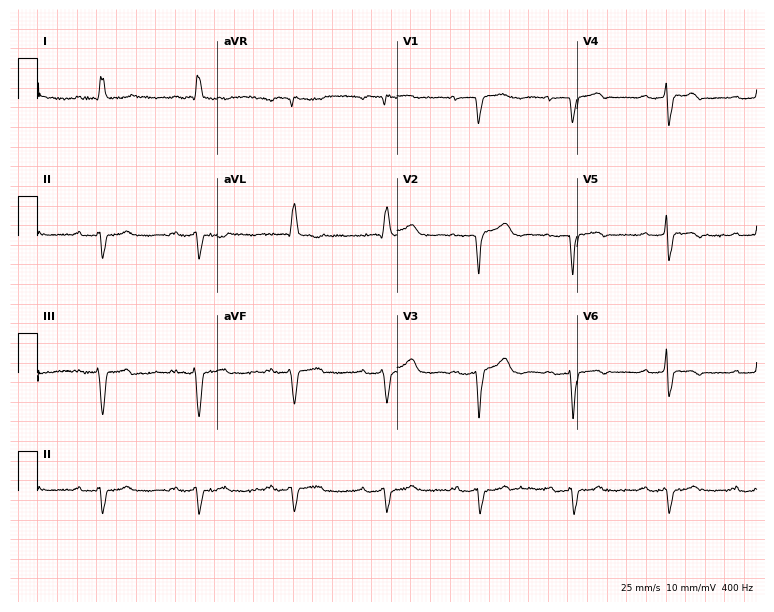
12-lead ECG from an 87-year-old woman (7.3-second recording at 400 Hz). Shows first-degree AV block.